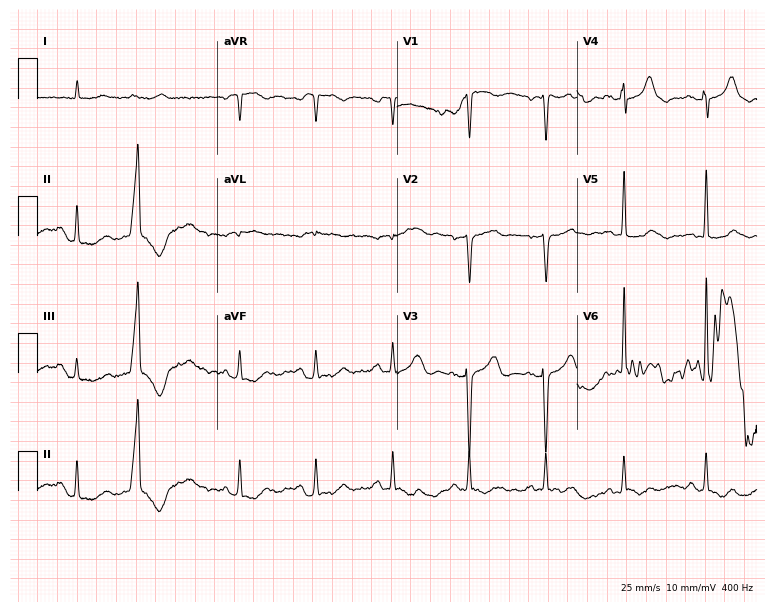
Resting 12-lead electrocardiogram (7.3-second recording at 400 Hz). Patient: a man, 81 years old. None of these six findings is recorded: first-degree AV block, right bundle branch block (RBBB), left bundle branch block (LBBB), sinus bradycardia, atrial fibrillation (AF), sinus tachycardia.